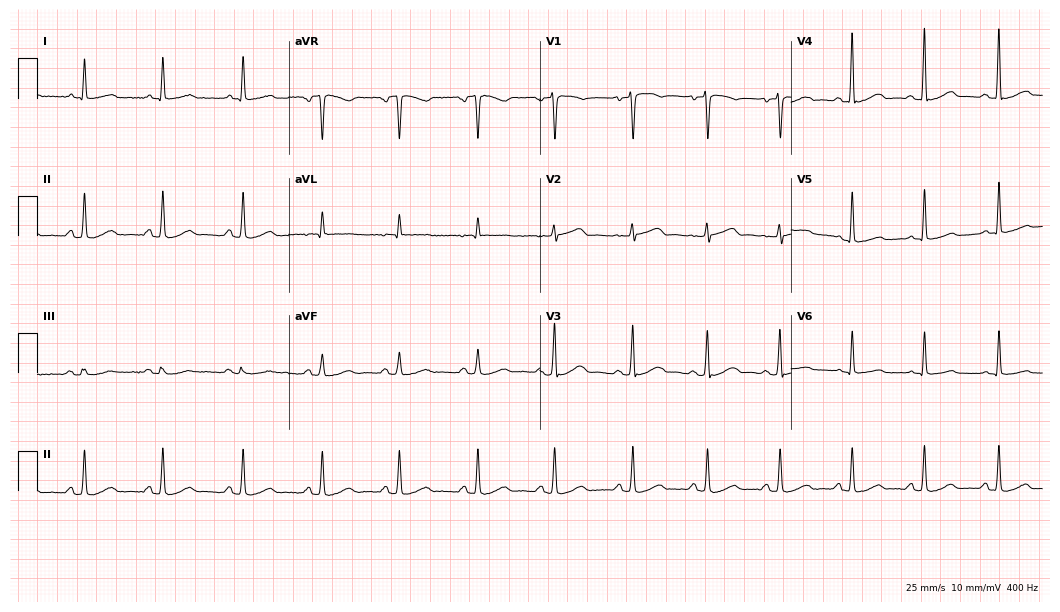
ECG (10.2-second recording at 400 Hz) — a 57-year-old female. Screened for six findings — first-degree AV block, right bundle branch block, left bundle branch block, sinus bradycardia, atrial fibrillation, sinus tachycardia — none is recorded.